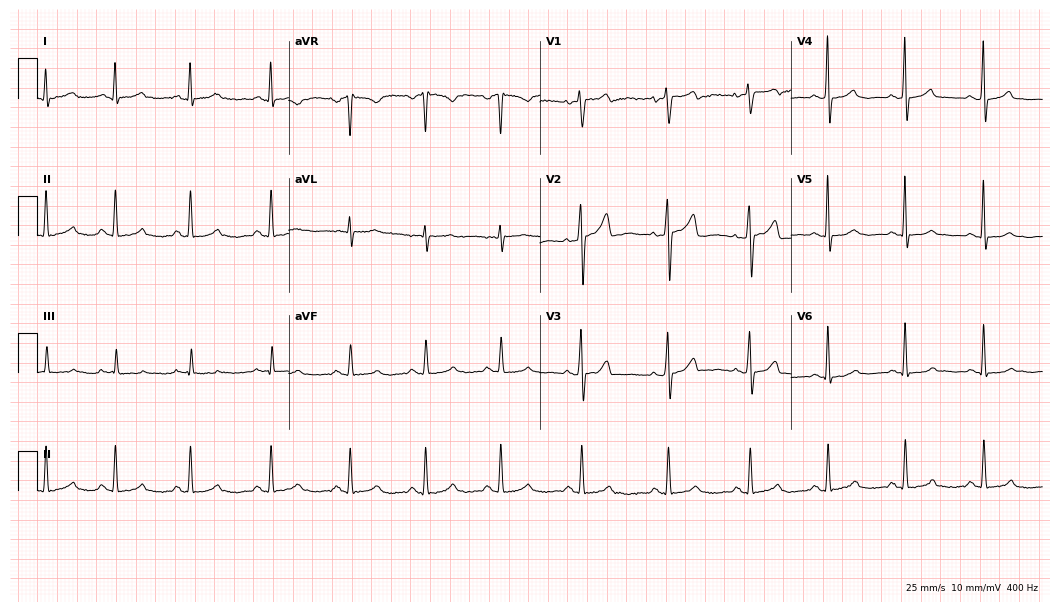
ECG (10.2-second recording at 400 Hz) — a 34-year-old female patient. Screened for six findings — first-degree AV block, right bundle branch block, left bundle branch block, sinus bradycardia, atrial fibrillation, sinus tachycardia — none is recorded. Findings outside these six are not listed.